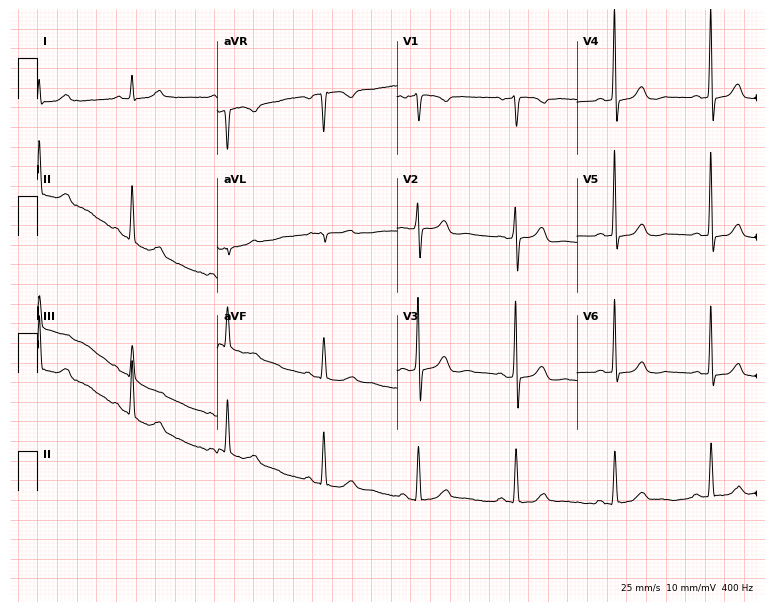
Standard 12-lead ECG recorded from a man, 55 years old. None of these six findings is recorded: first-degree AV block, right bundle branch block (RBBB), left bundle branch block (LBBB), sinus bradycardia, atrial fibrillation (AF), sinus tachycardia. Findings outside these six are not listed.